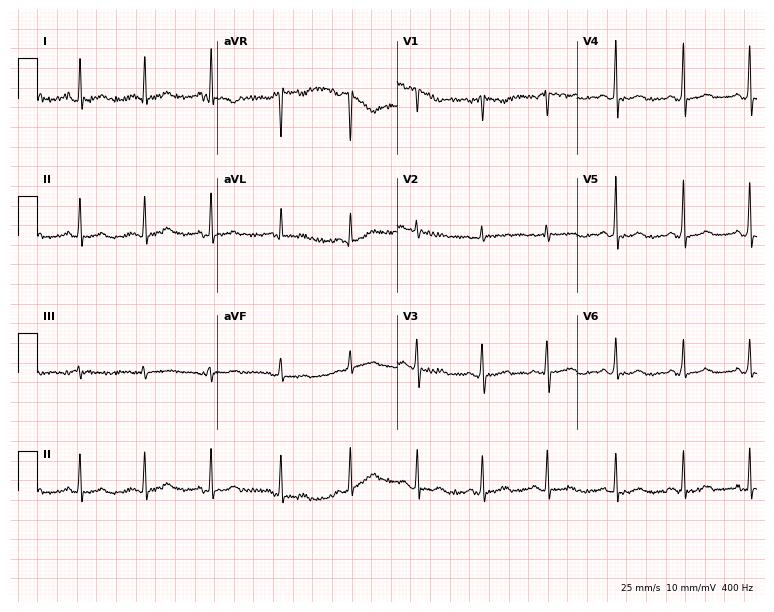
Standard 12-lead ECG recorded from a 52-year-old female patient. None of these six findings is recorded: first-degree AV block, right bundle branch block, left bundle branch block, sinus bradycardia, atrial fibrillation, sinus tachycardia. Only these six findings were labelled.